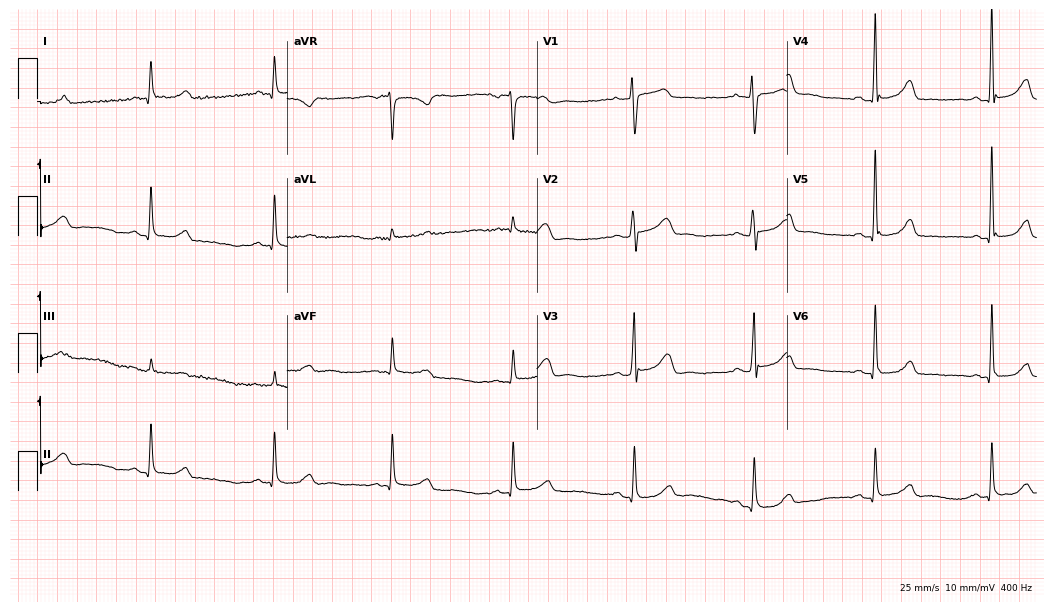
12-lead ECG from a 60-year-old woman. Screened for six findings — first-degree AV block, right bundle branch block, left bundle branch block, sinus bradycardia, atrial fibrillation, sinus tachycardia — none is recorded. Other findings, if any, are not listed.